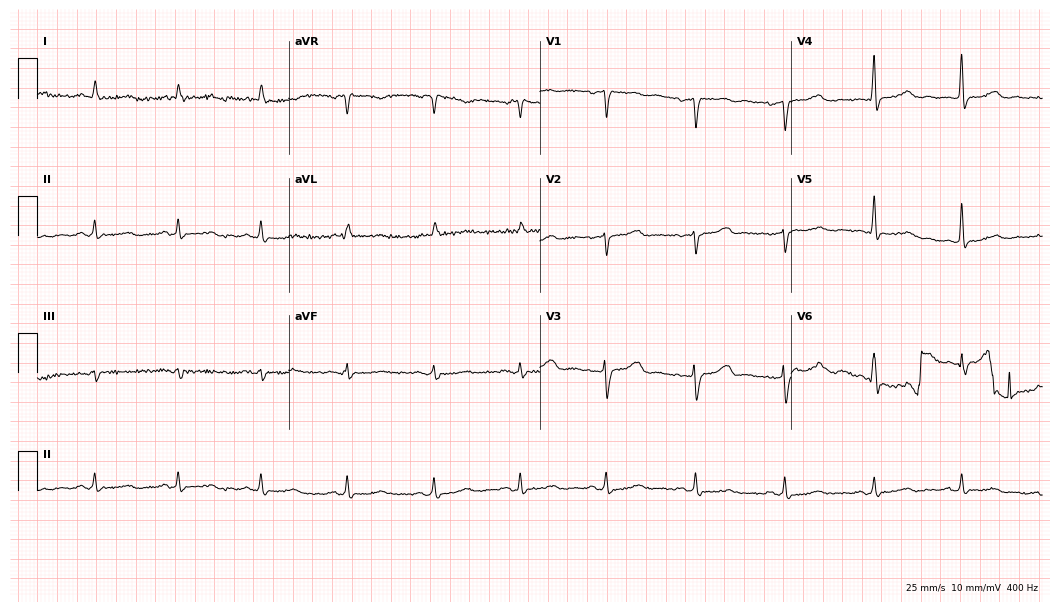
12-lead ECG from a woman, 67 years old. No first-degree AV block, right bundle branch block, left bundle branch block, sinus bradycardia, atrial fibrillation or sinus tachycardia recorded for this tracing. Findings outside these six are not listed.